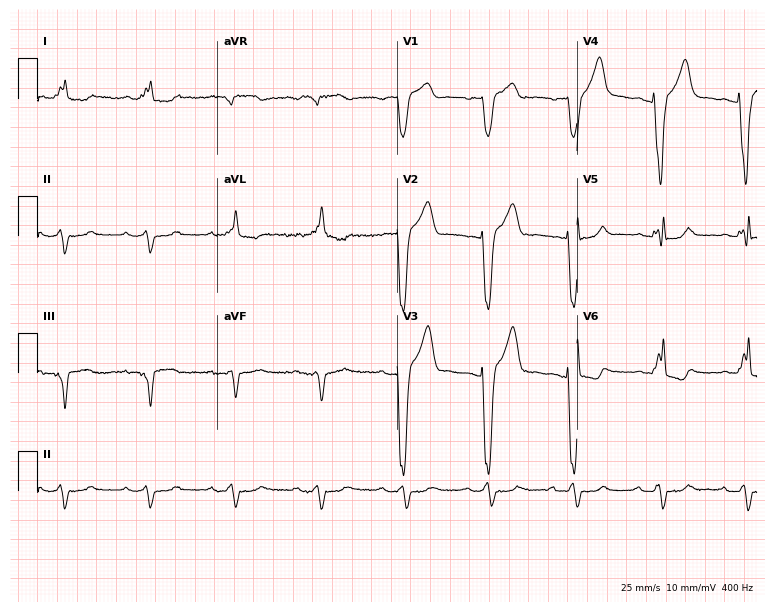
12-lead ECG from a male, 84 years old (7.3-second recording at 400 Hz). Shows left bundle branch block (LBBB).